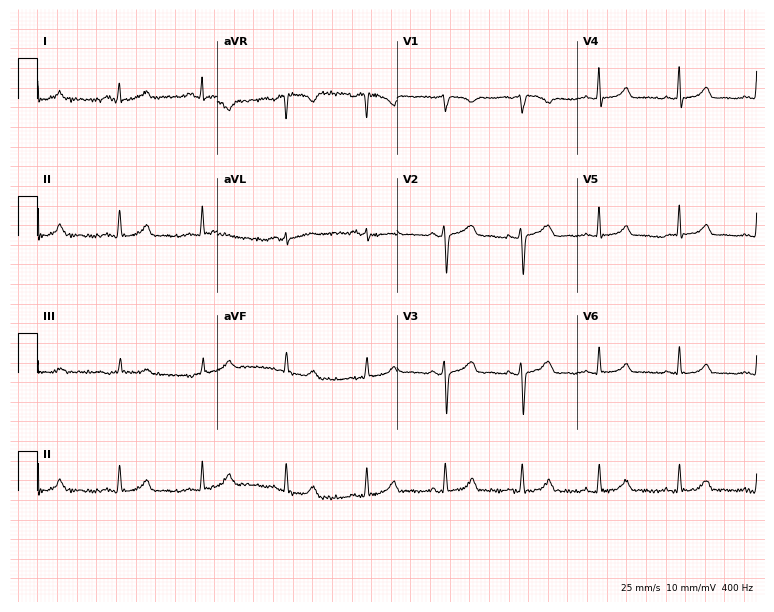
12-lead ECG from a 31-year-old woman. Labelled as a normal ECG.